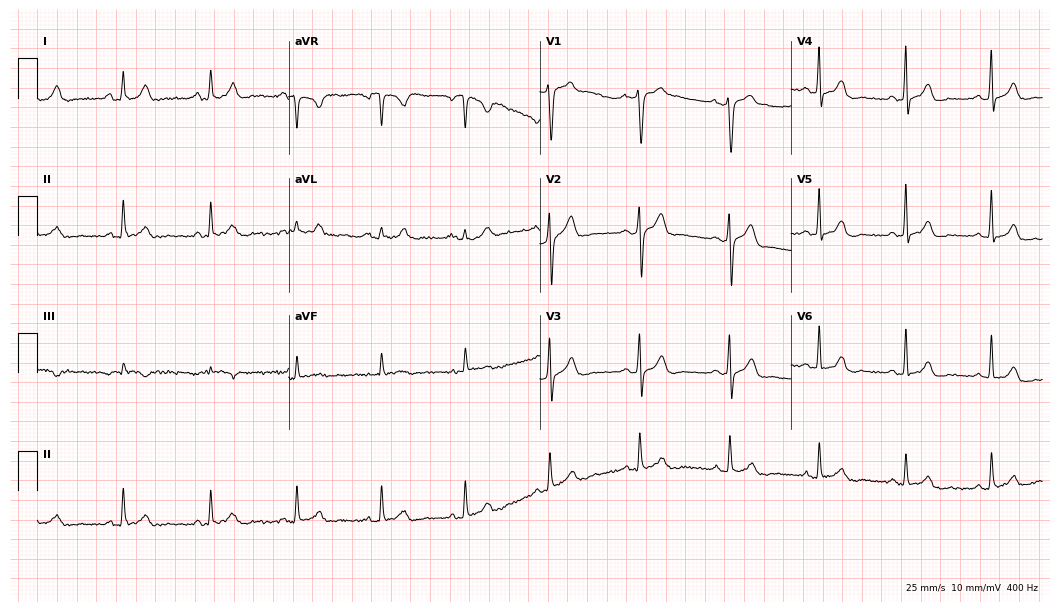
Resting 12-lead electrocardiogram (10.2-second recording at 400 Hz). Patient: a male, 47 years old. None of these six findings is recorded: first-degree AV block, right bundle branch block, left bundle branch block, sinus bradycardia, atrial fibrillation, sinus tachycardia.